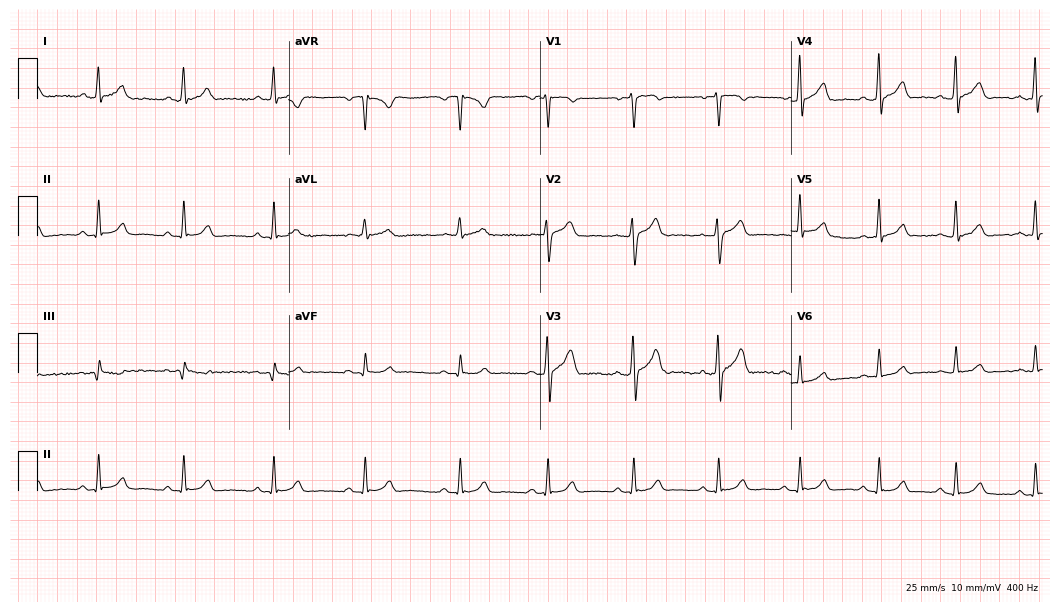
ECG (10.2-second recording at 400 Hz) — a male patient, 44 years old. Labelled as a normal ECG.